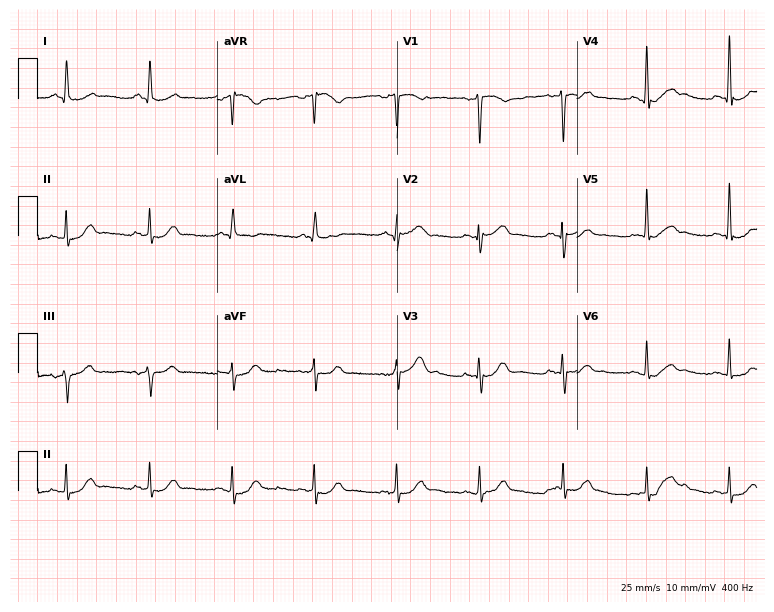
Standard 12-lead ECG recorded from a 65-year-old male. Read as a normal ECG.